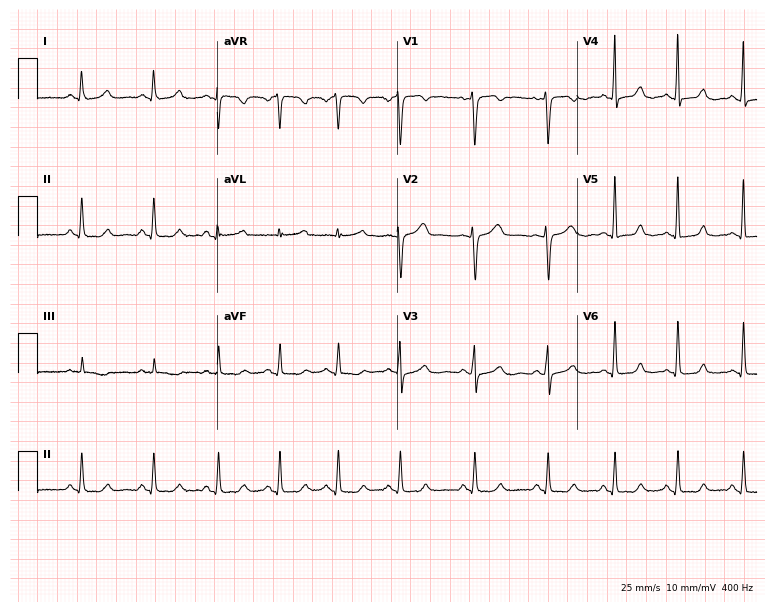
Electrocardiogram, a 35-year-old female patient. Of the six screened findings (first-degree AV block, right bundle branch block (RBBB), left bundle branch block (LBBB), sinus bradycardia, atrial fibrillation (AF), sinus tachycardia), none is recorded. Findings outside these six are not listed.